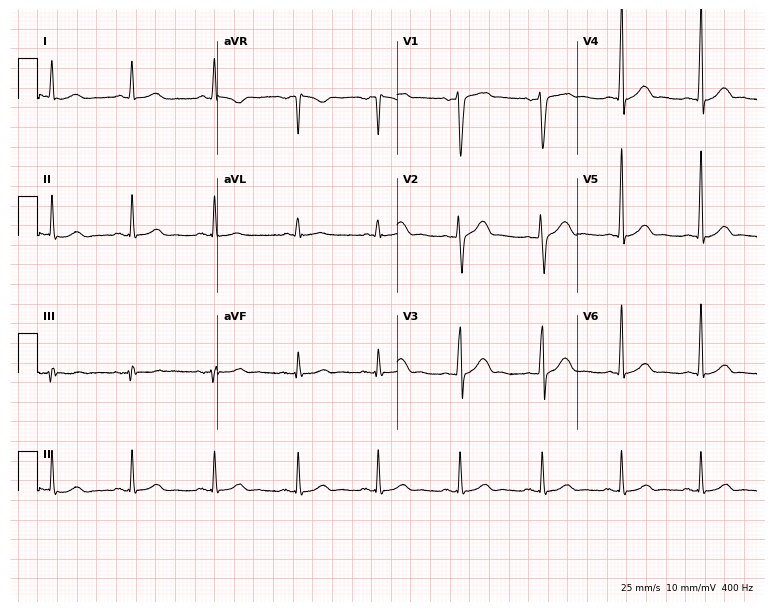
12-lead ECG from a 38-year-old man (7.3-second recording at 400 Hz). Recorded interpretation: within normal limits.